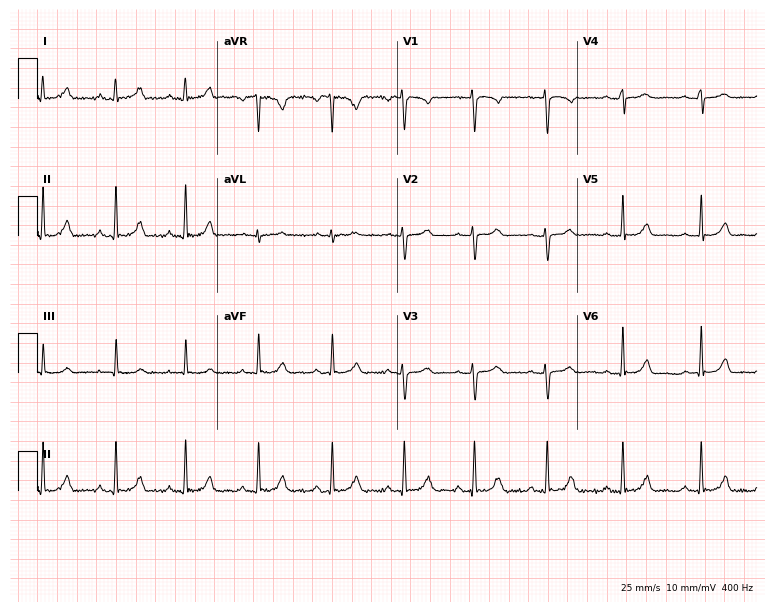
ECG (7.3-second recording at 400 Hz) — a 20-year-old woman. Labelled as a normal ECG.